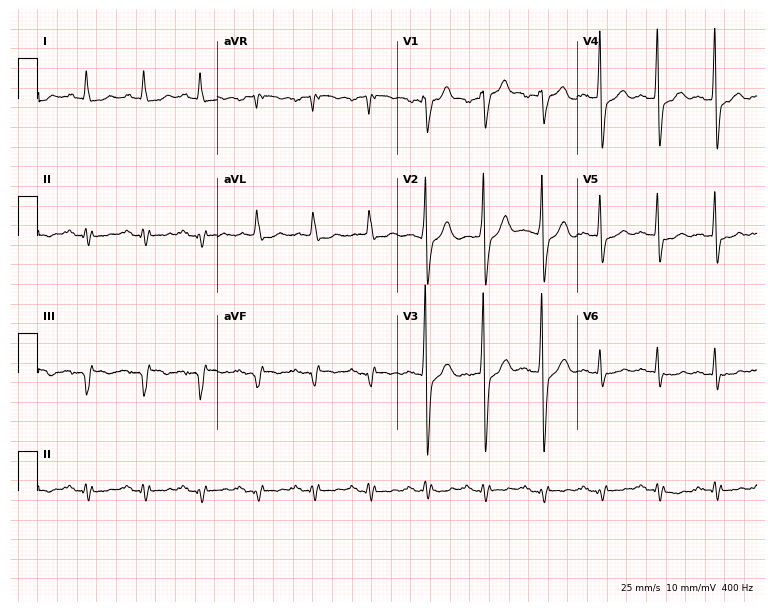
ECG (7.3-second recording at 400 Hz) — a man, 66 years old. Screened for six findings — first-degree AV block, right bundle branch block (RBBB), left bundle branch block (LBBB), sinus bradycardia, atrial fibrillation (AF), sinus tachycardia — none is recorded. Findings outside these six are not listed.